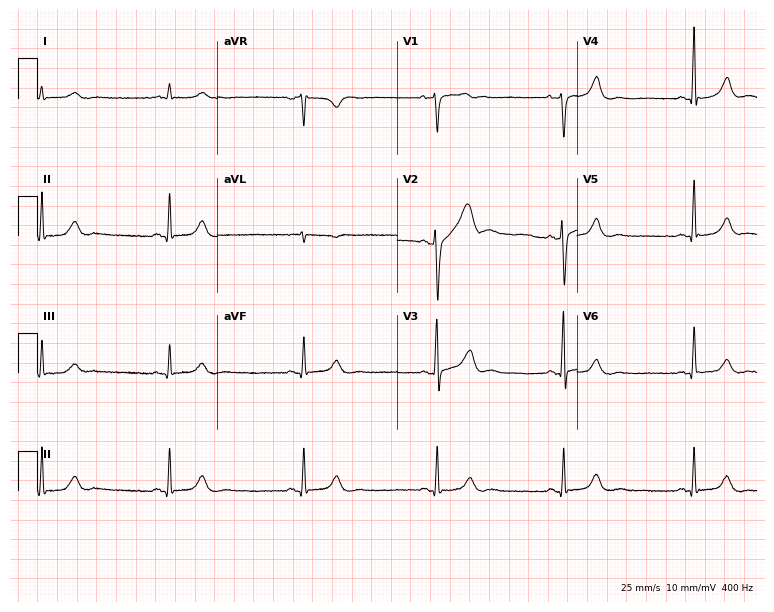
Electrocardiogram (7.3-second recording at 400 Hz), a man, 60 years old. Of the six screened findings (first-degree AV block, right bundle branch block (RBBB), left bundle branch block (LBBB), sinus bradycardia, atrial fibrillation (AF), sinus tachycardia), none is recorded. Findings outside these six are not listed.